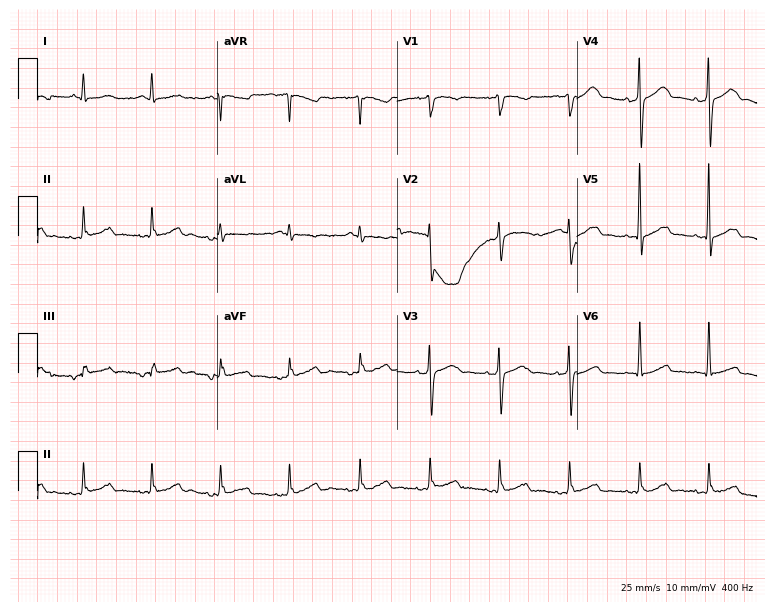
Resting 12-lead electrocardiogram (7.3-second recording at 400 Hz). Patient: a male, 69 years old. Read as a normal ECG.